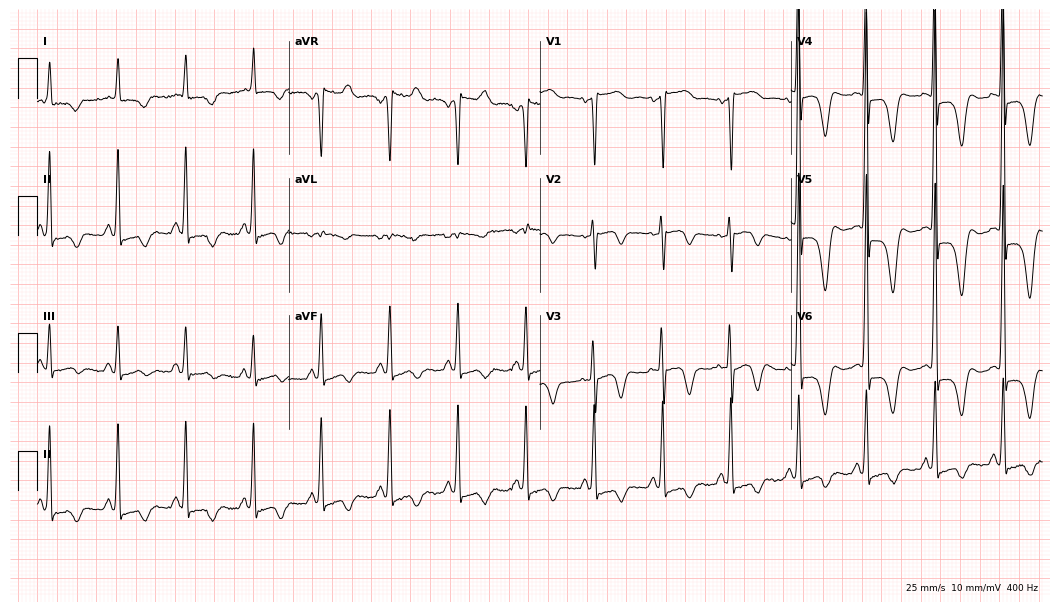
12-lead ECG (10.2-second recording at 400 Hz) from a female patient, 80 years old. Screened for six findings — first-degree AV block, right bundle branch block, left bundle branch block, sinus bradycardia, atrial fibrillation, sinus tachycardia — none is recorded.